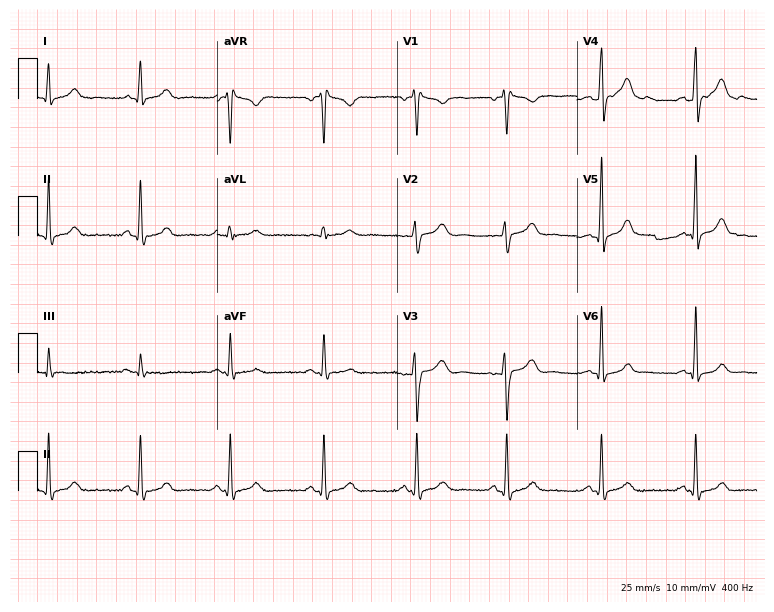
Electrocardiogram, a 30-year-old male. Overall reading on record: normal ECG.